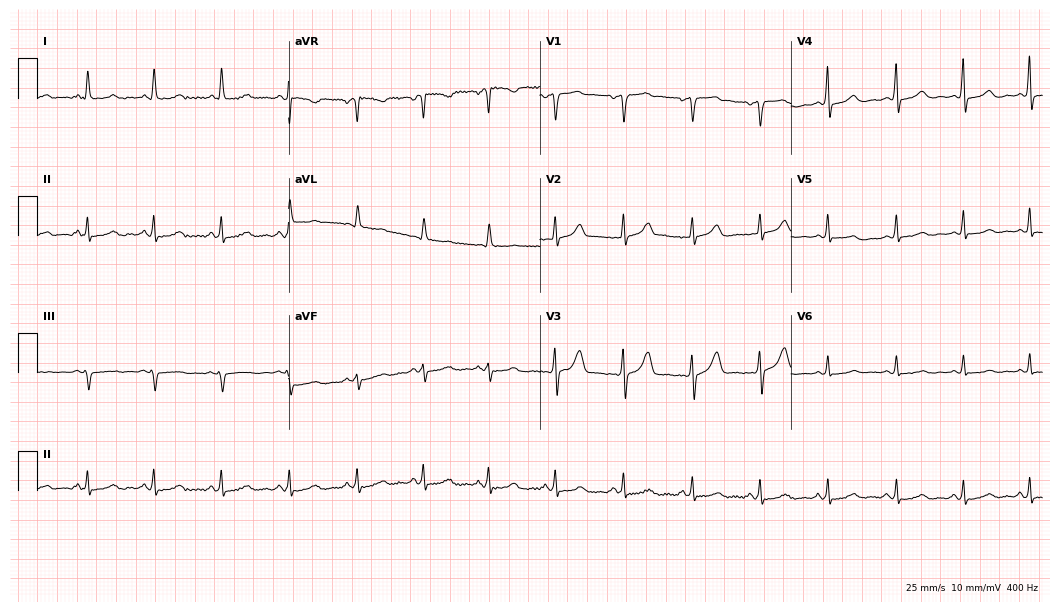
ECG — a 41-year-old female patient. Screened for six findings — first-degree AV block, right bundle branch block, left bundle branch block, sinus bradycardia, atrial fibrillation, sinus tachycardia — none is recorded.